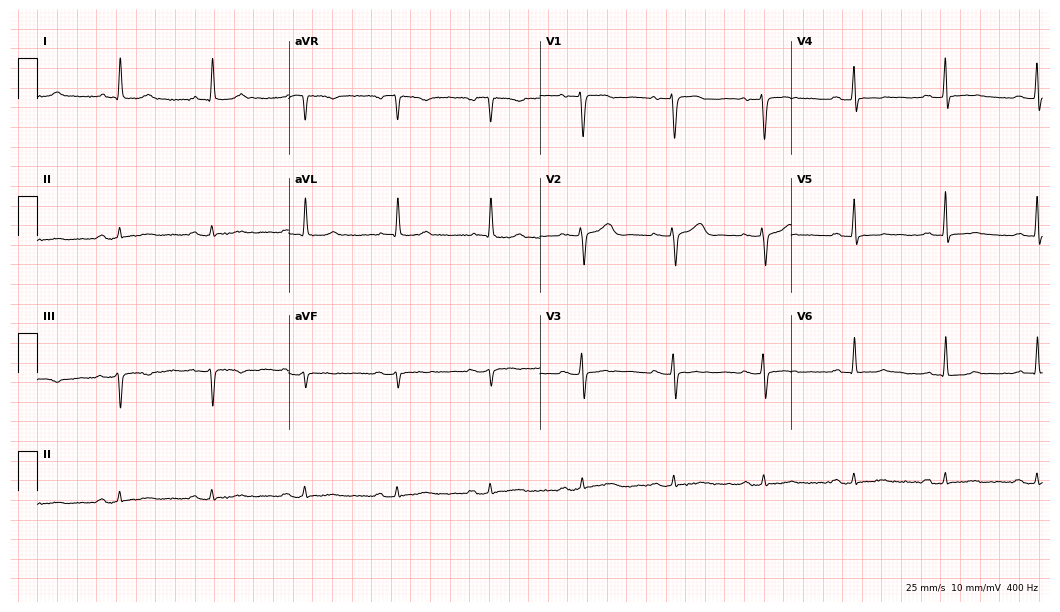
12-lead ECG (10.2-second recording at 400 Hz) from a 72-year-old female. Screened for six findings — first-degree AV block, right bundle branch block, left bundle branch block, sinus bradycardia, atrial fibrillation, sinus tachycardia — none is recorded. Only these six findings were labelled.